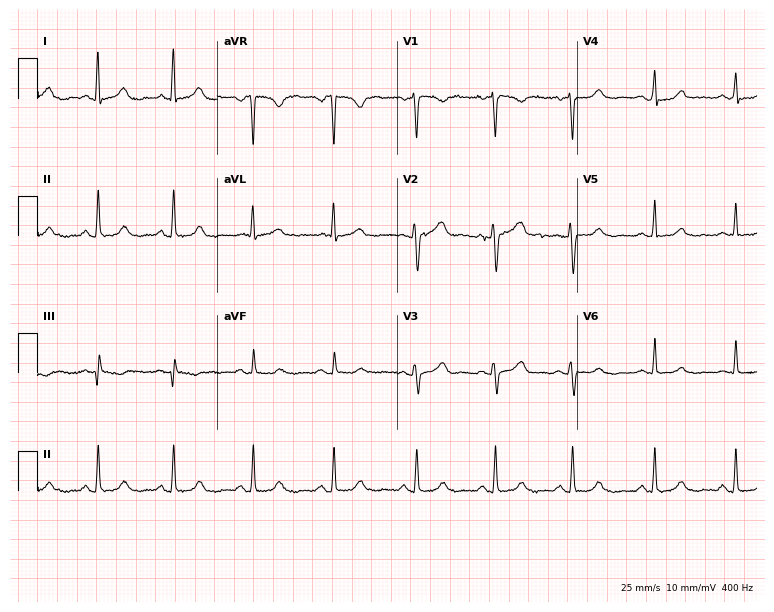
Standard 12-lead ECG recorded from a female patient, 54 years old (7.3-second recording at 400 Hz). Read as a normal ECG.